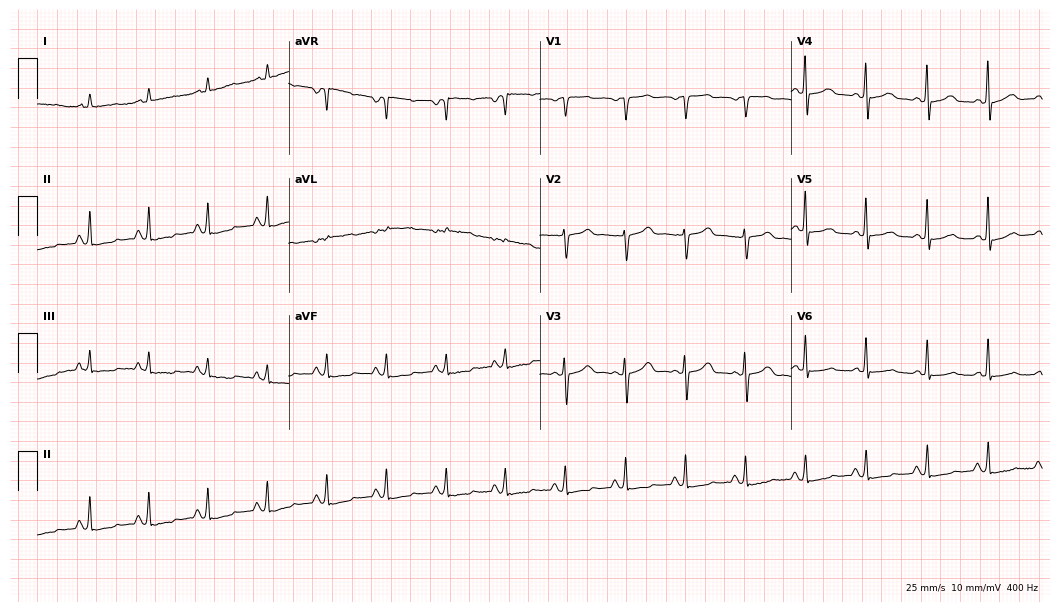
Electrocardiogram (10.2-second recording at 400 Hz), a 61-year-old woman. Of the six screened findings (first-degree AV block, right bundle branch block, left bundle branch block, sinus bradycardia, atrial fibrillation, sinus tachycardia), none is recorded. Only these six findings were labelled.